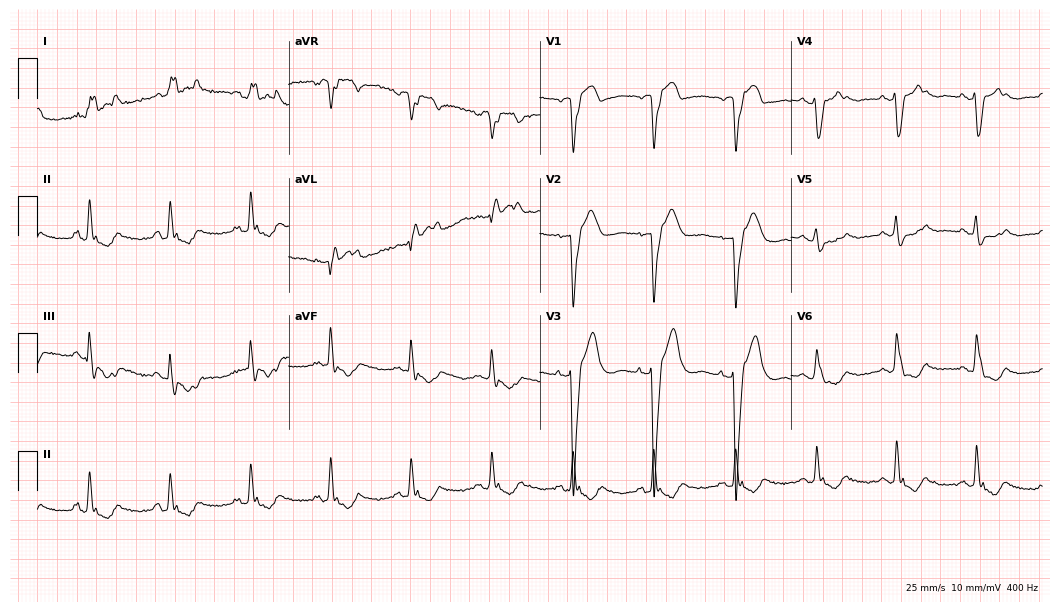
Resting 12-lead electrocardiogram. Patient: a female, 47 years old. The tracing shows left bundle branch block.